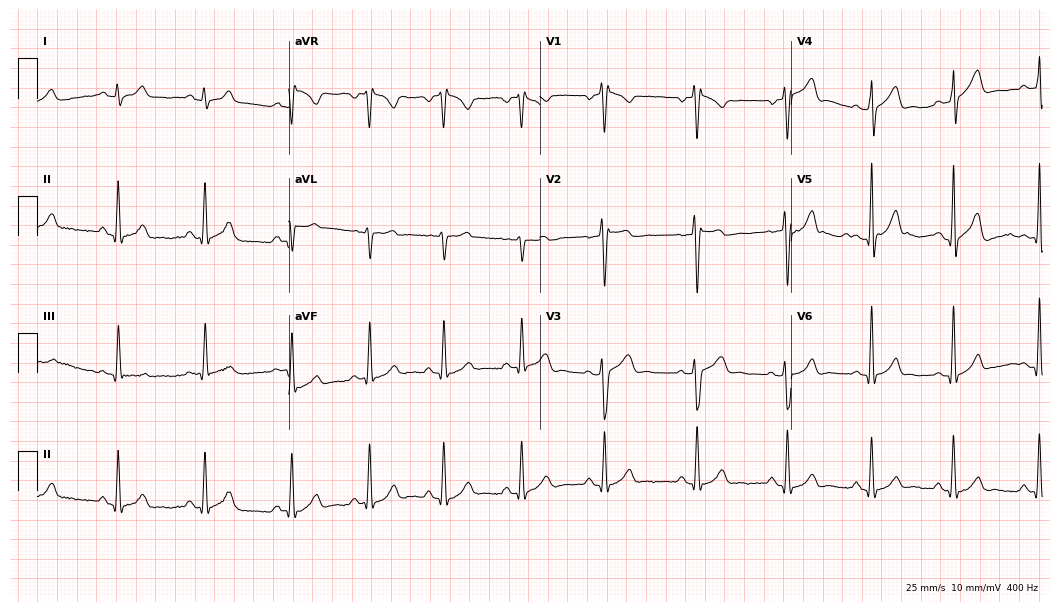
ECG — a male, 29 years old. Labelled as a normal ECG.